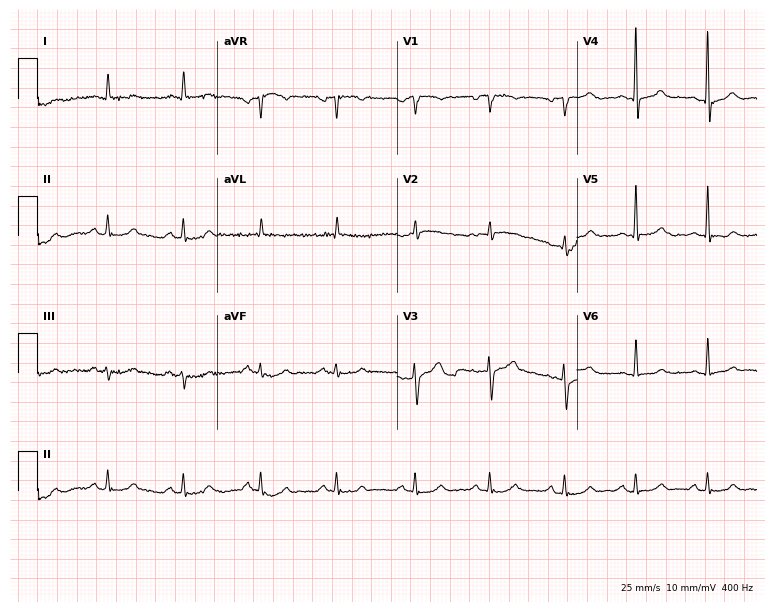
12-lead ECG from an 84-year-old female patient. No first-degree AV block, right bundle branch block, left bundle branch block, sinus bradycardia, atrial fibrillation or sinus tachycardia recorded for this tracing.